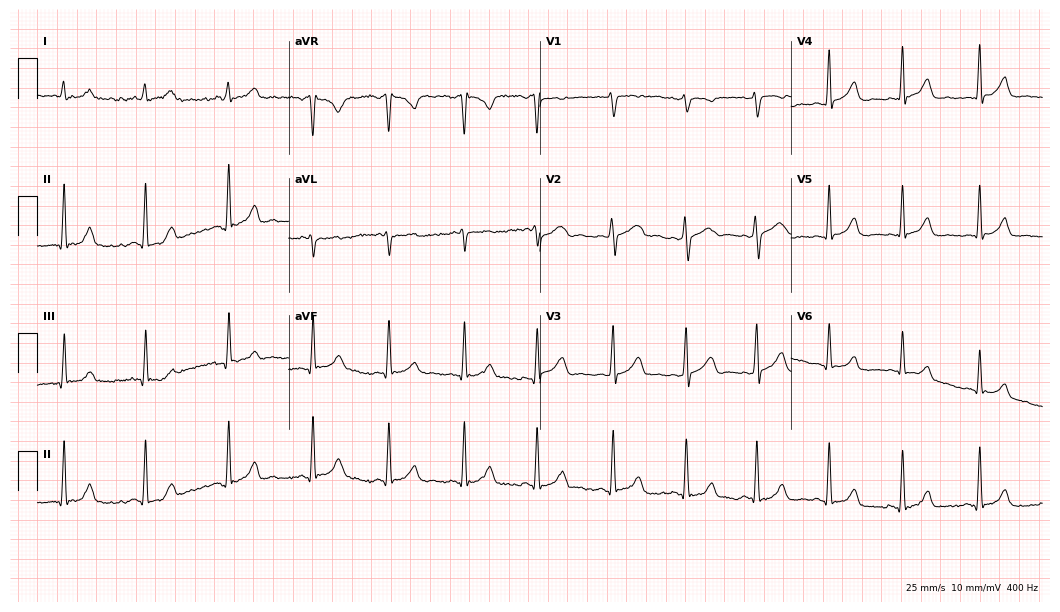
Resting 12-lead electrocardiogram (10.2-second recording at 400 Hz). Patient: a female, 41 years old. None of these six findings is recorded: first-degree AV block, right bundle branch block, left bundle branch block, sinus bradycardia, atrial fibrillation, sinus tachycardia.